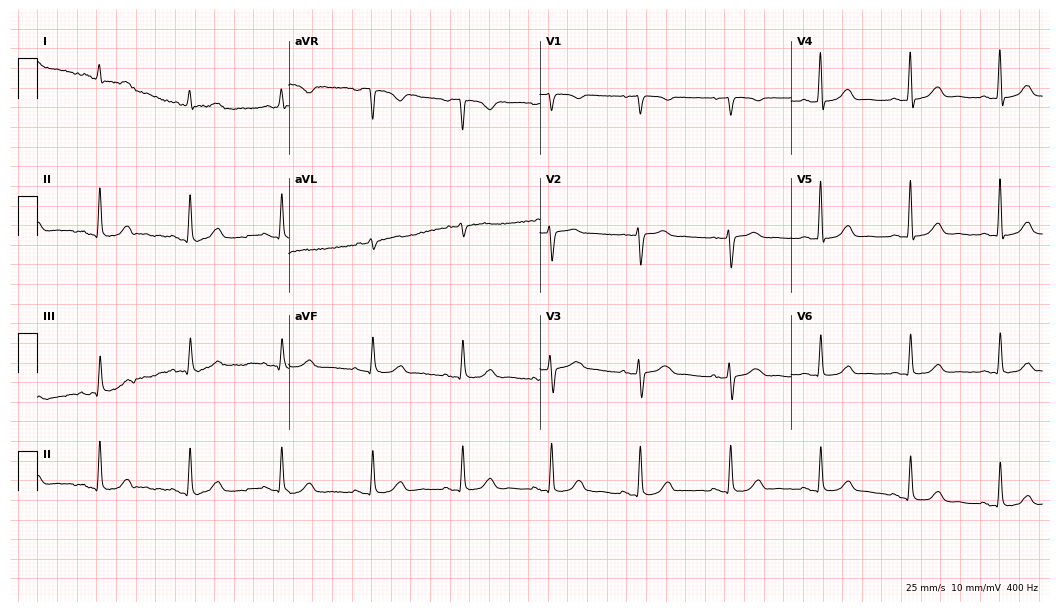
Electrocardiogram (10.2-second recording at 400 Hz), a 62-year-old man. Of the six screened findings (first-degree AV block, right bundle branch block (RBBB), left bundle branch block (LBBB), sinus bradycardia, atrial fibrillation (AF), sinus tachycardia), none is recorded. Only these six findings were labelled.